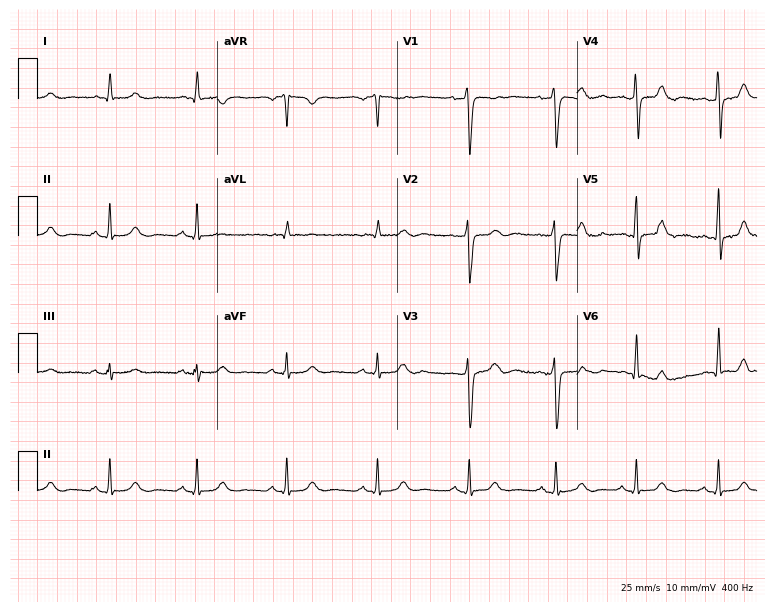
Resting 12-lead electrocardiogram. Patient: a man, 22 years old. Read as a normal ECG.